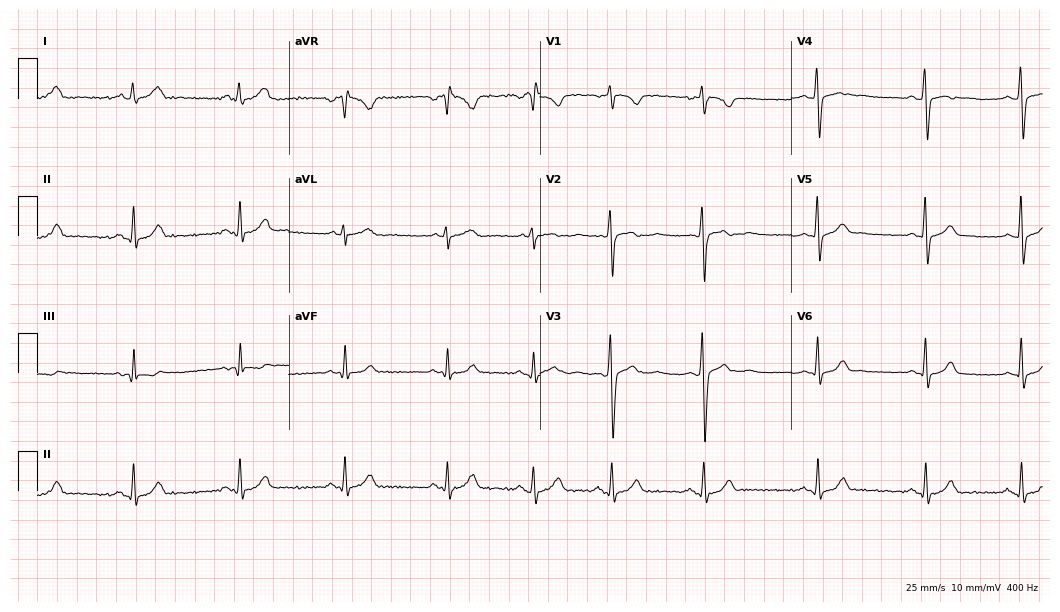
Resting 12-lead electrocardiogram (10.2-second recording at 400 Hz). Patient: an 18-year-old female. Read as a normal ECG.